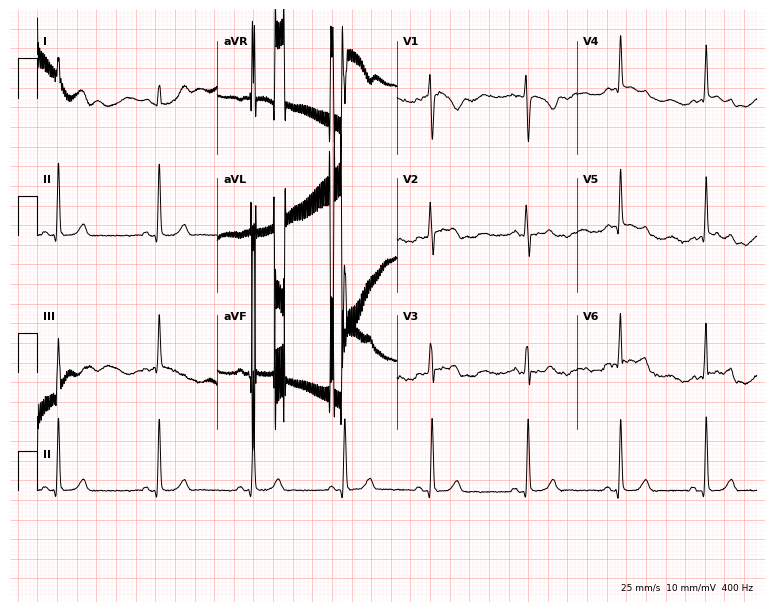
Standard 12-lead ECG recorded from a 19-year-old female (7.3-second recording at 400 Hz). Read as a normal ECG.